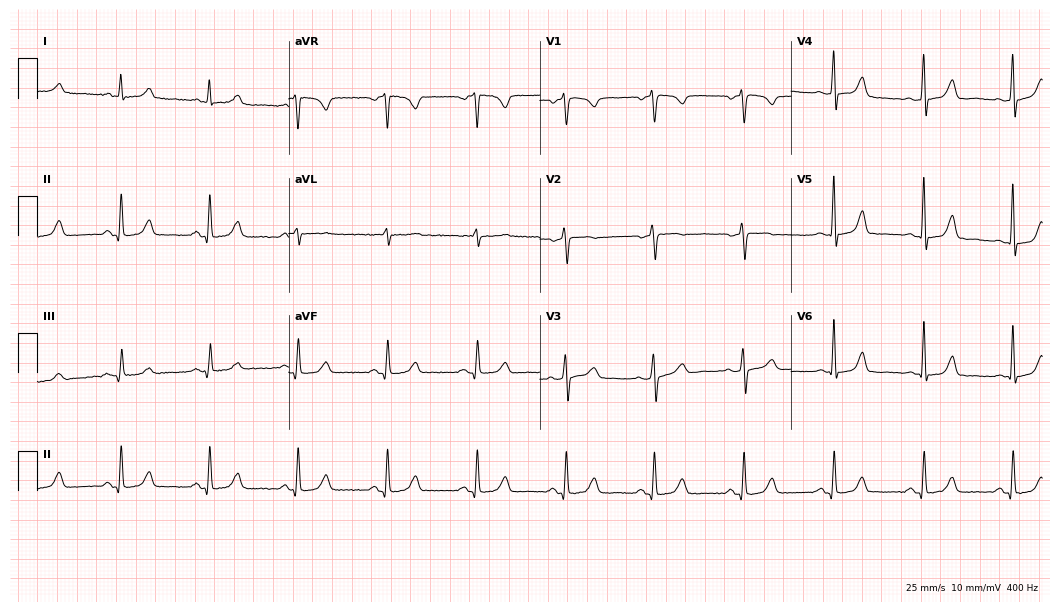
Standard 12-lead ECG recorded from a 55-year-old female. Read as a normal ECG.